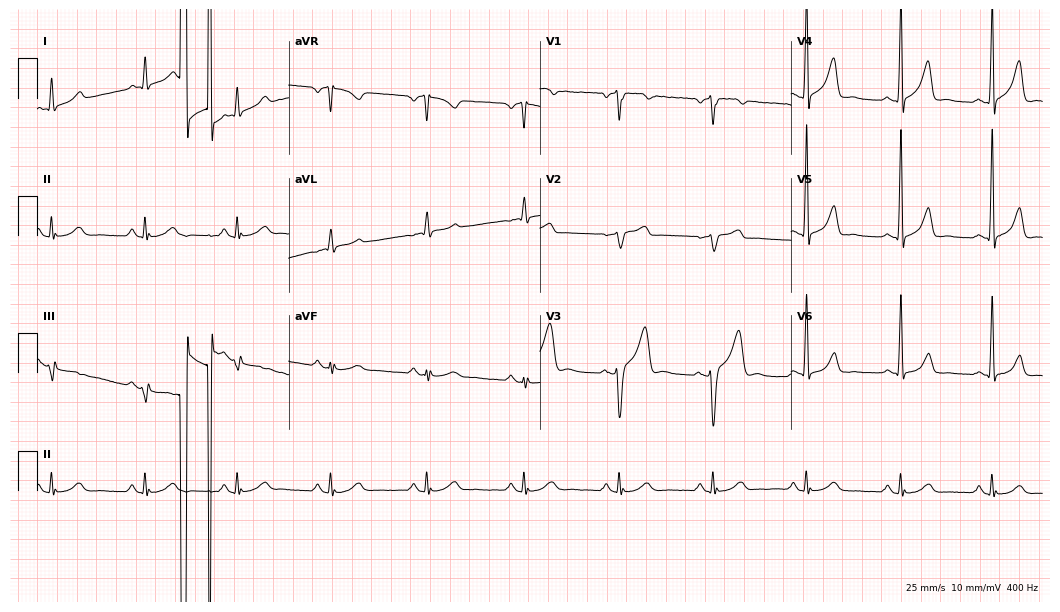
ECG (10.2-second recording at 400 Hz) — a 45-year-old man. Screened for six findings — first-degree AV block, right bundle branch block, left bundle branch block, sinus bradycardia, atrial fibrillation, sinus tachycardia — none is recorded. Other findings, if any, are not listed.